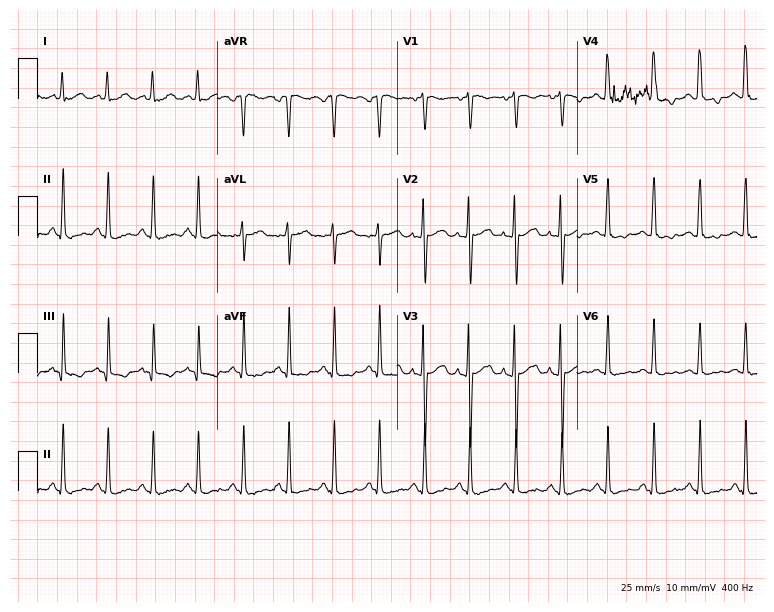
12-lead ECG (7.3-second recording at 400 Hz) from a 20-year-old woman. Findings include sinus tachycardia (a sinus rate of 100 beats per minute or more).